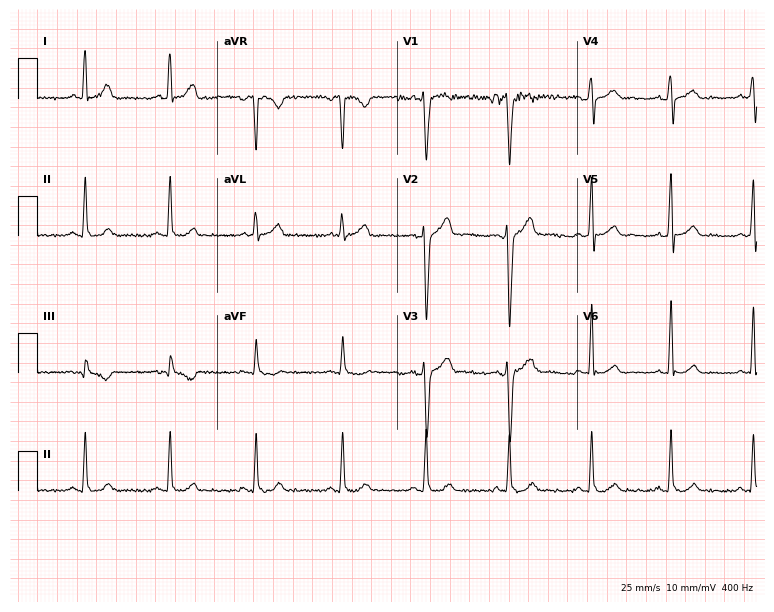
Electrocardiogram, a man, 31 years old. Of the six screened findings (first-degree AV block, right bundle branch block (RBBB), left bundle branch block (LBBB), sinus bradycardia, atrial fibrillation (AF), sinus tachycardia), none is recorded. Findings outside these six are not listed.